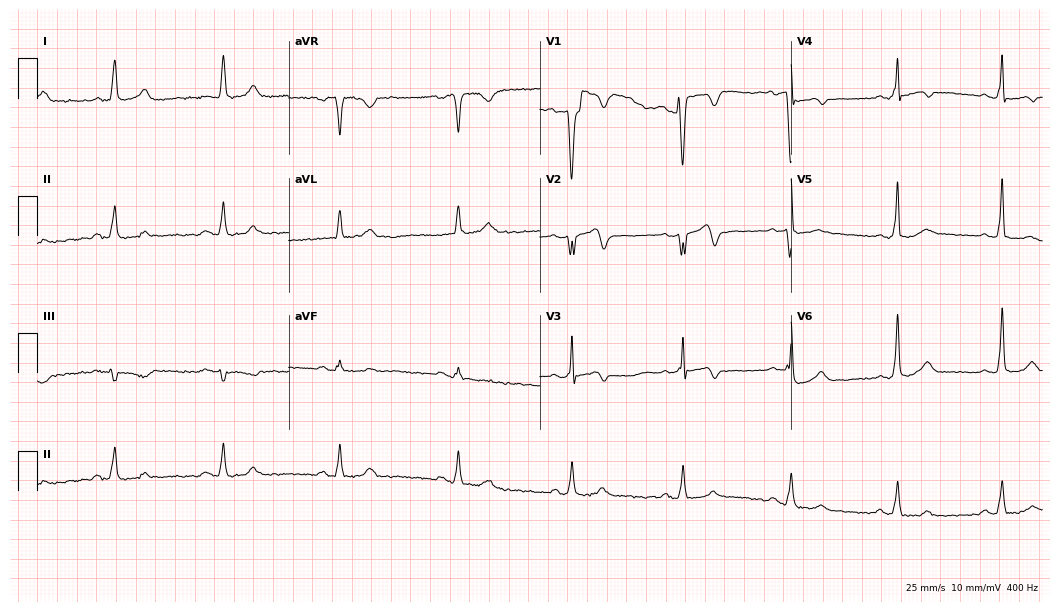
12-lead ECG from a 44-year-old male patient. Screened for six findings — first-degree AV block, right bundle branch block, left bundle branch block, sinus bradycardia, atrial fibrillation, sinus tachycardia — none is recorded.